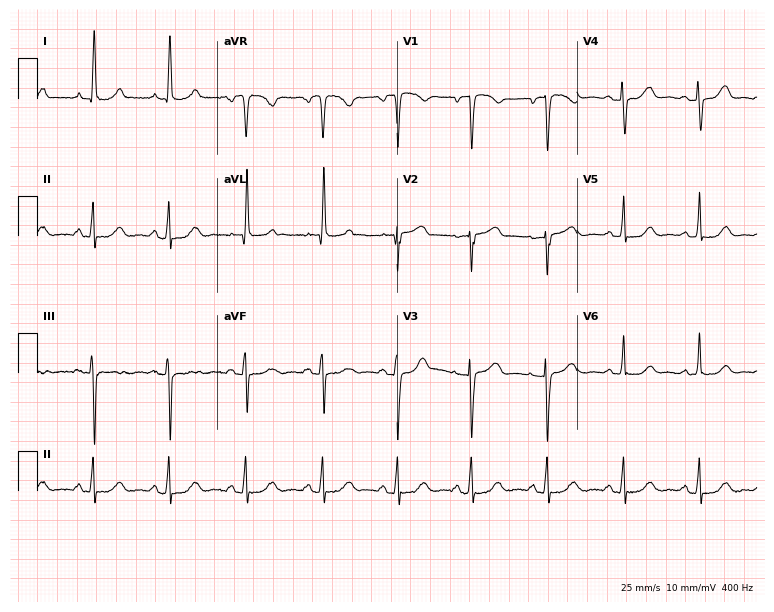
ECG (7.3-second recording at 400 Hz) — a 55-year-old female. Labelled as a normal ECG.